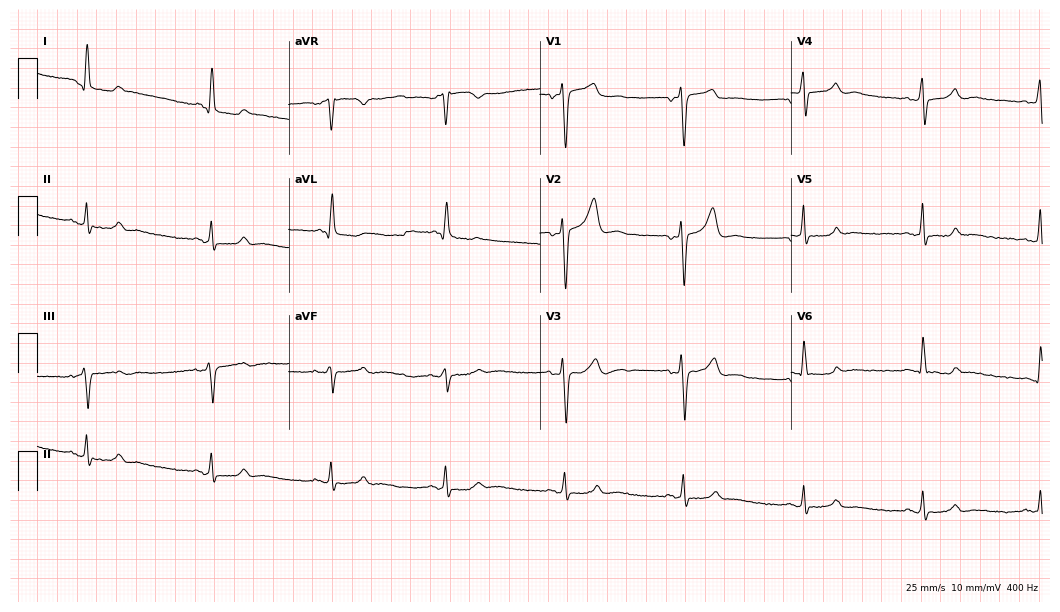
Standard 12-lead ECG recorded from a male patient, 37 years old. None of these six findings is recorded: first-degree AV block, right bundle branch block (RBBB), left bundle branch block (LBBB), sinus bradycardia, atrial fibrillation (AF), sinus tachycardia.